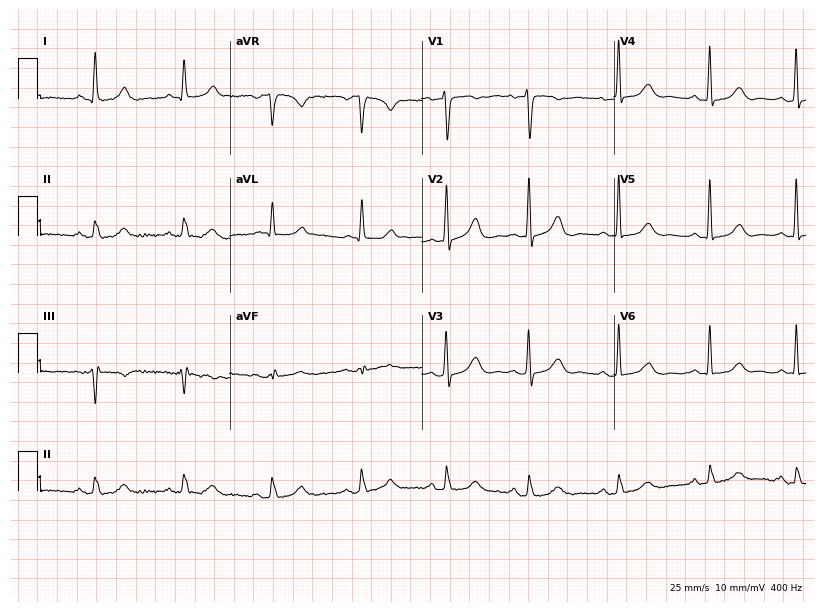
12-lead ECG from a 70-year-old female. Recorded interpretation: within normal limits.